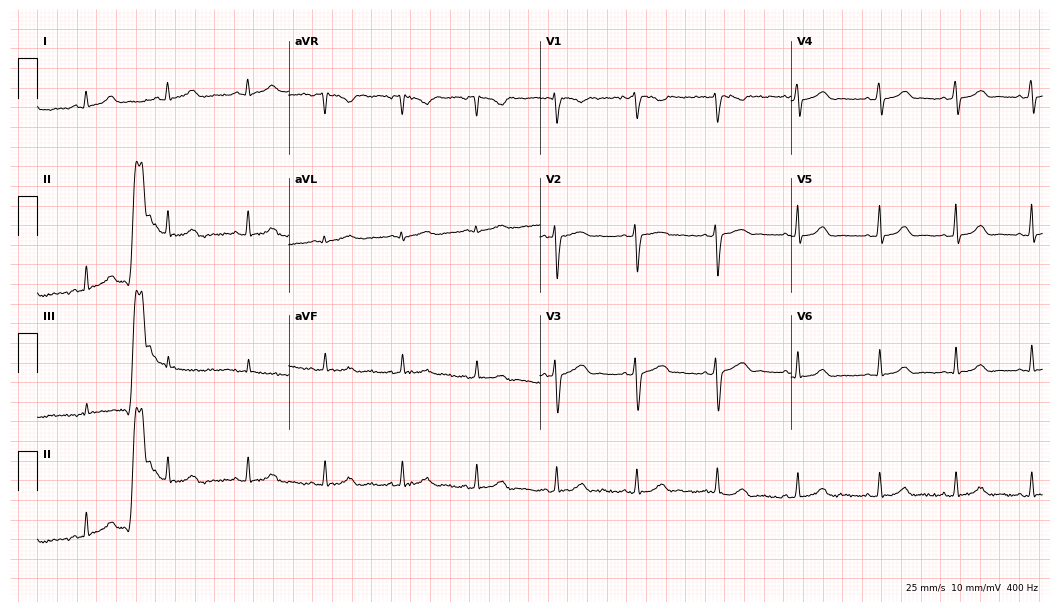
12-lead ECG (10.2-second recording at 400 Hz) from a 30-year-old woman. Labelled as a normal ECG.